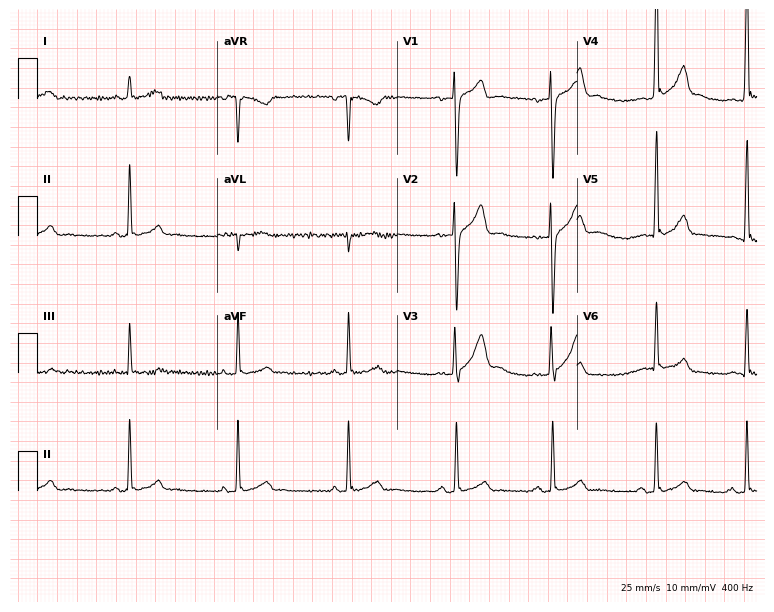
Electrocardiogram (7.3-second recording at 400 Hz), a 23-year-old man. Of the six screened findings (first-degree AV block, right bundle branch block, left bundle branch block, sinus bradycardia, atrial fibrillation, sinus tachycardia), none is recorded.